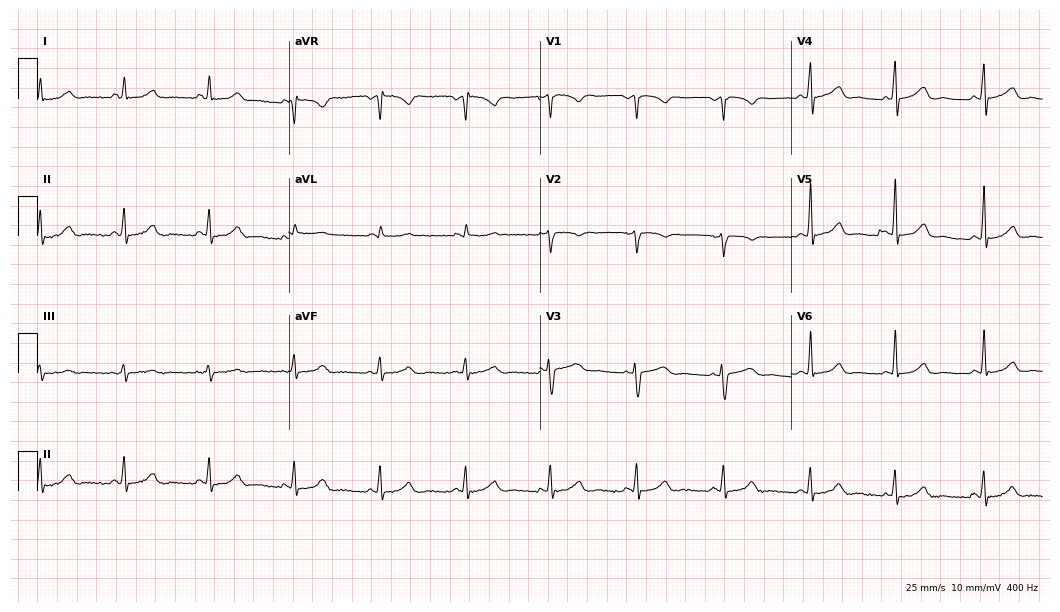
Electrocardiogram, a female patient, 35 years old. Overall reading on record: normal ECG.